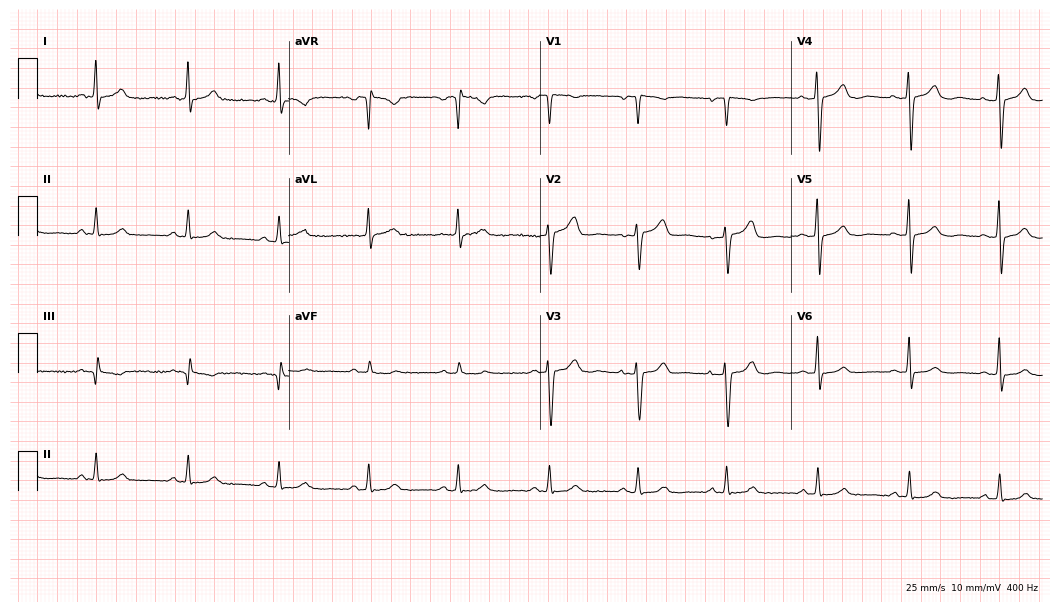
Standard 12-lead ECG recorded from a 69-year-old female patient. Read as a normal ECG.